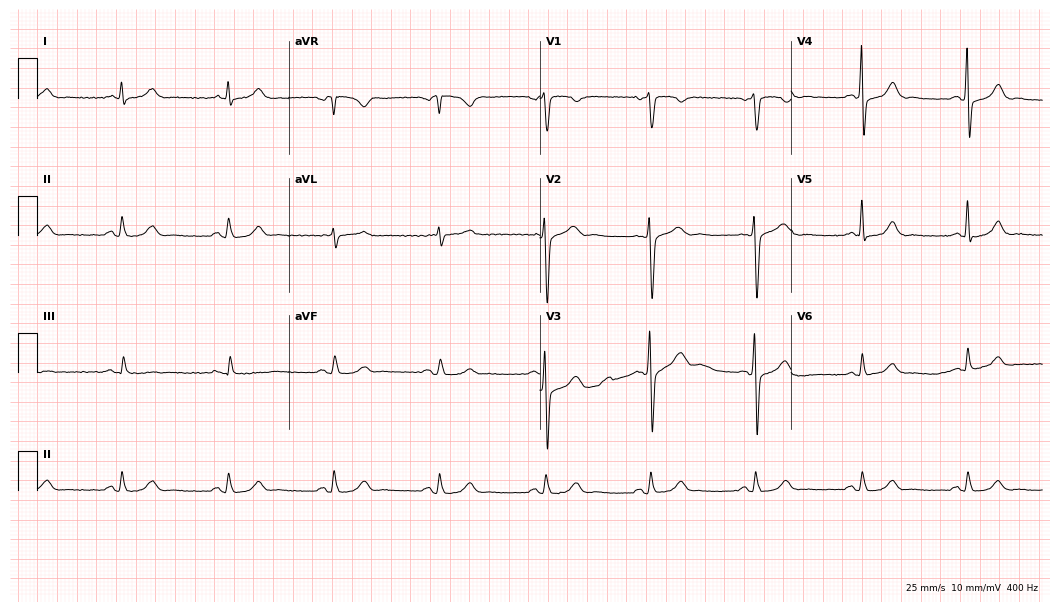
ECG — a 65-year-old man. Labelled as a normal ECG.